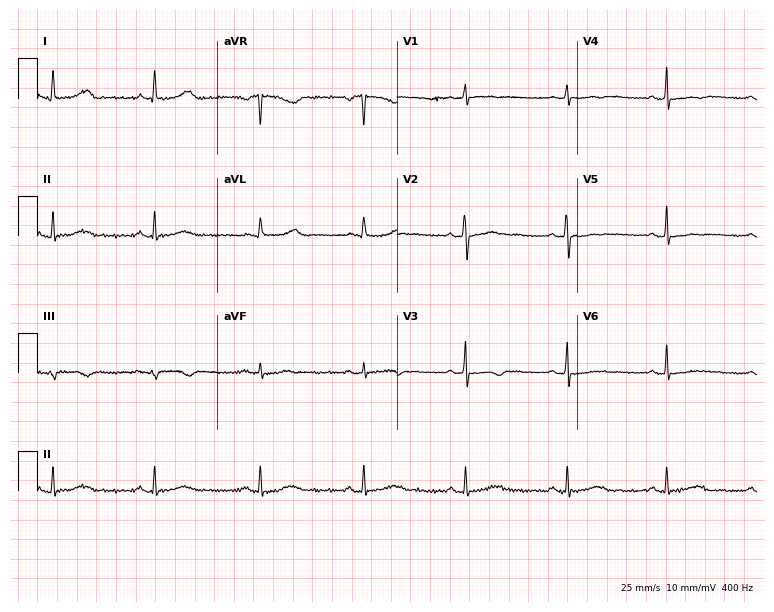
12-lead ECG from a woman, 29 years old. No first-degree AV block, right bundle branch block (RBBB), left bundle branch block (LBBB), sinus bradycardia, atrial fibrillation (AF) or sinus tachycardia recorded for this tracing.